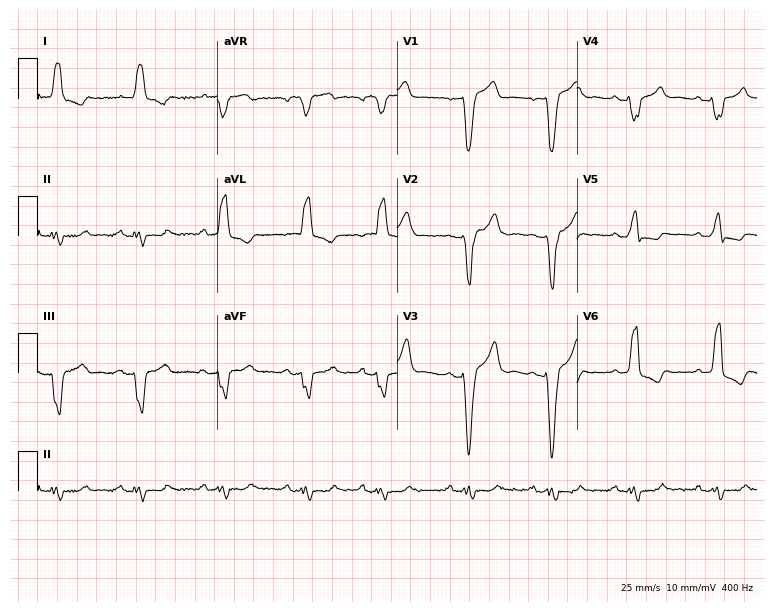
ECG — a male, 84 years old. Findings include left bundle branch block (LBBB).